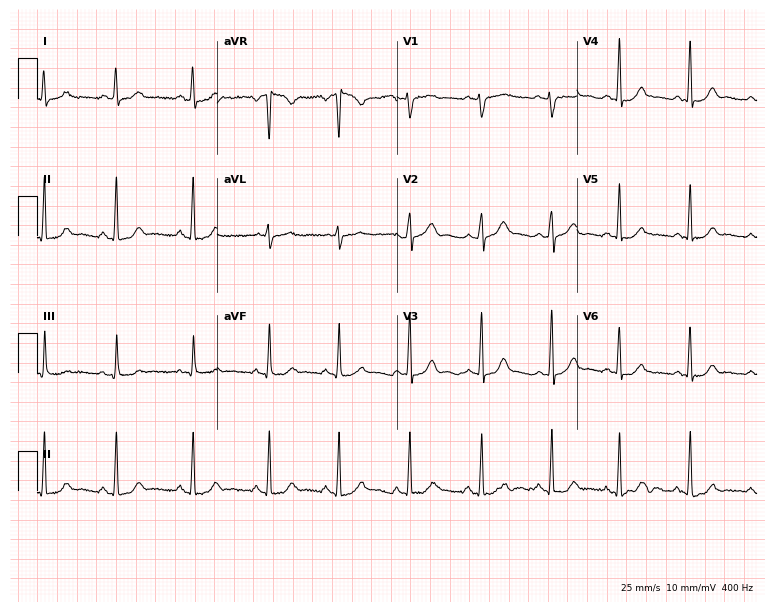
Resting 12-lead electrocardiogram. Patient: a woman, 24 years old. None of these six findings is recorded: first-degree AV block, right bundle branch block, left bundle branch block, sinus bradycardia, atrial fibrillation, sinus tachycardia.